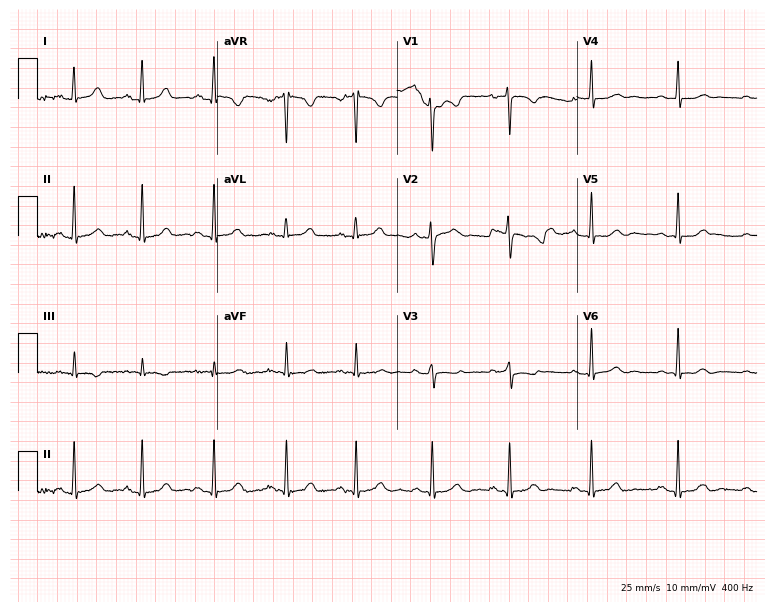
12-lead ECG from a female, 30 years old. Recorded interpretation: within normal limits.